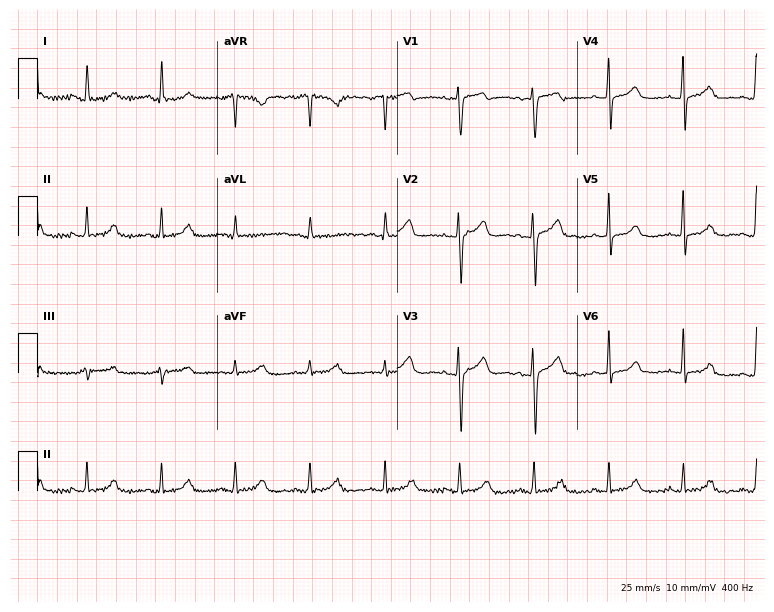
Standard 12-lead ECG recorded from a 57-year-old woman (7.3-second recording at 400 Hz). Read as a normal ECG.